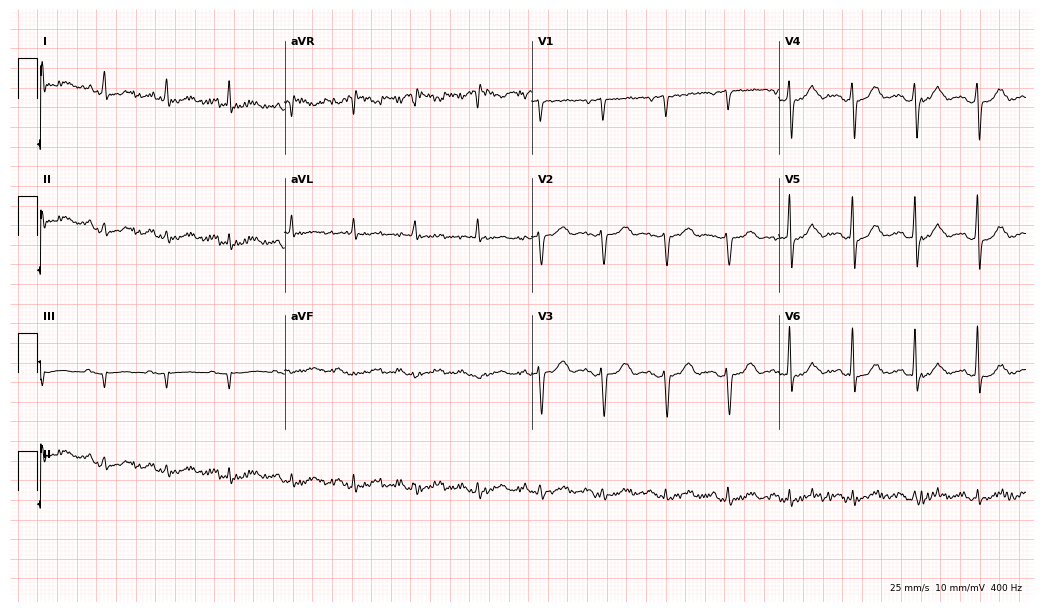
ECG (10.1-second recording at 400 Hz) — a woman, 63 years old. Labelled as a normal ECG.